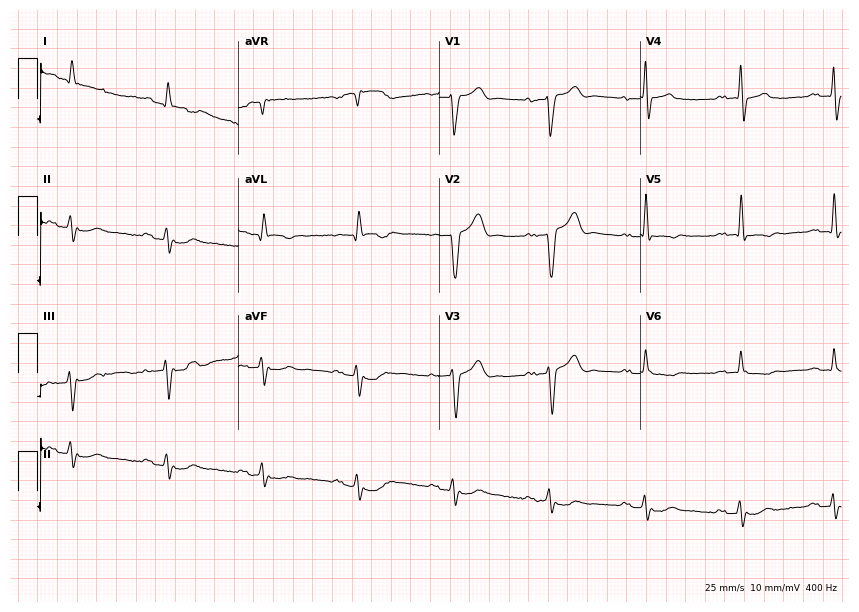
ECG — an 80-year-old male patient. Screened for six findings — first-degree AV block, right bundle branch block, left bundle branch block, sinus bradycardia, atrial fibrillation, sinus tachycardia — none is recorded.